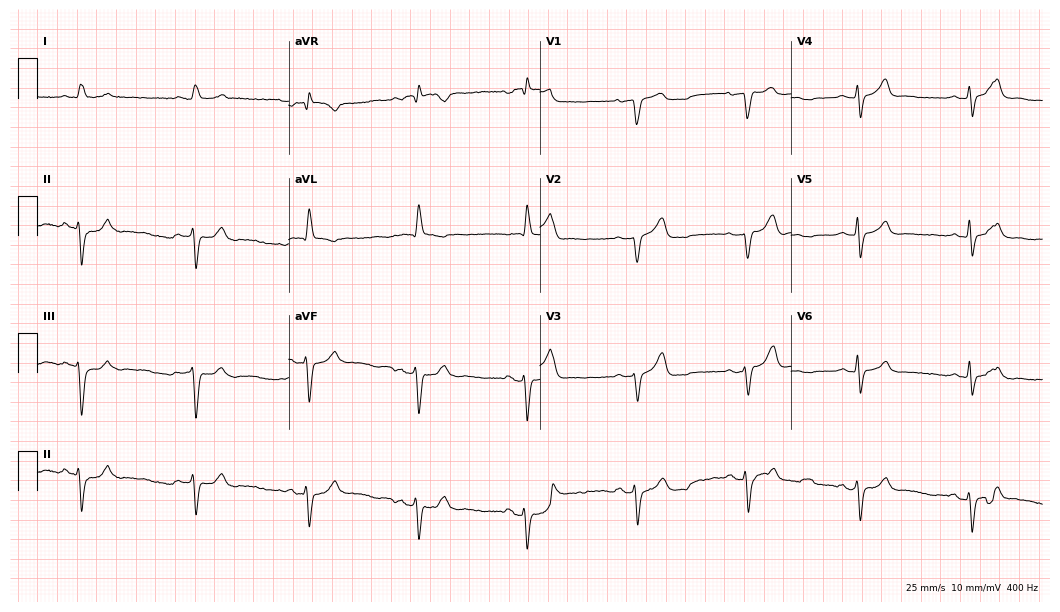
12-lead ECG from a man, 84 years old (10.2-second recording at 400 Hz). No first-degree AV block, right bundle branch block, left bundle branch block, sinus bradycardia, atrial fibrillation or sinus tachycardia recorded for this tracing. Other findings, if any, are not listed.